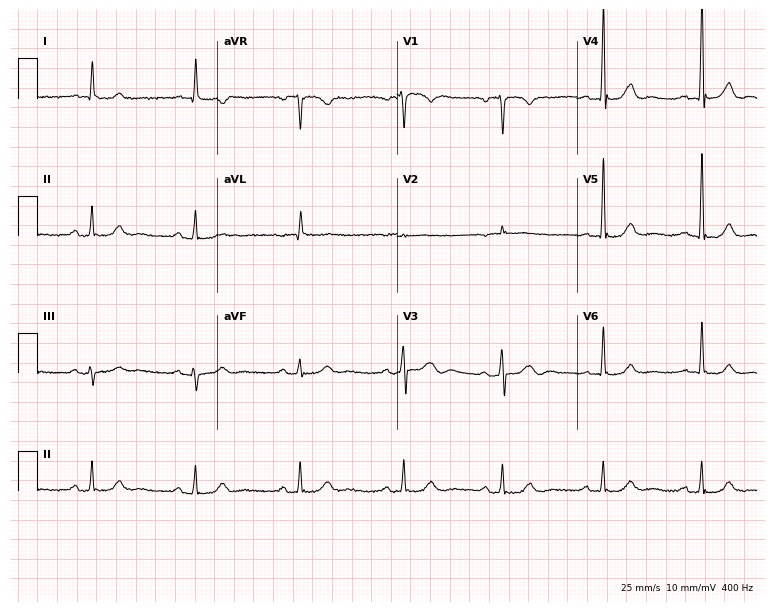
12-lead ECG from an 82-year-old male patient. Labelled as a normal ECG.